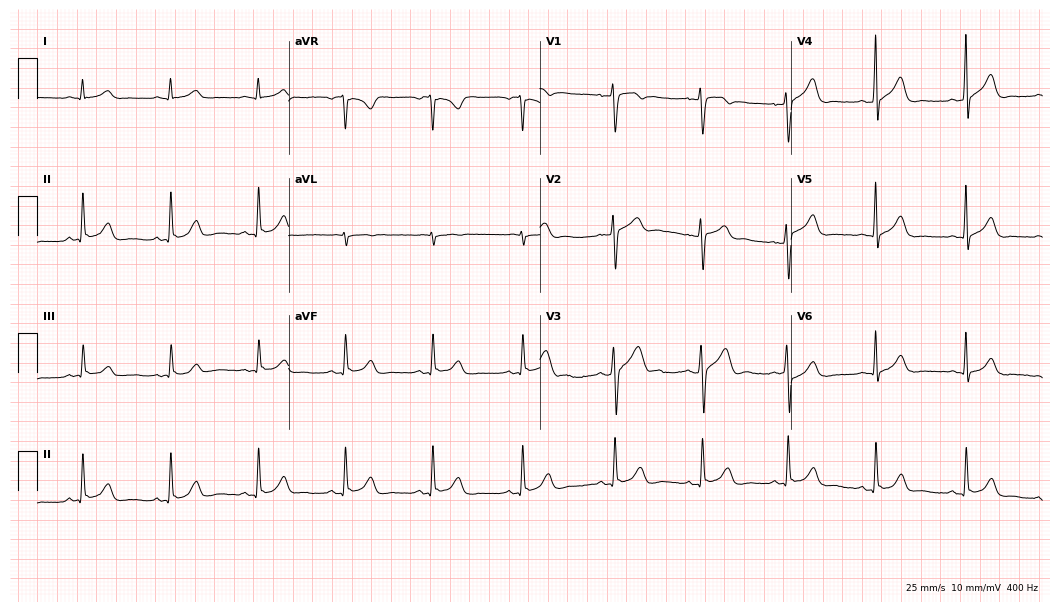
Resting 12-lead electrocardiogram (10.2-second recording at 400 Hz). Patient: a 36-year-old male. Read as a normal ECG.